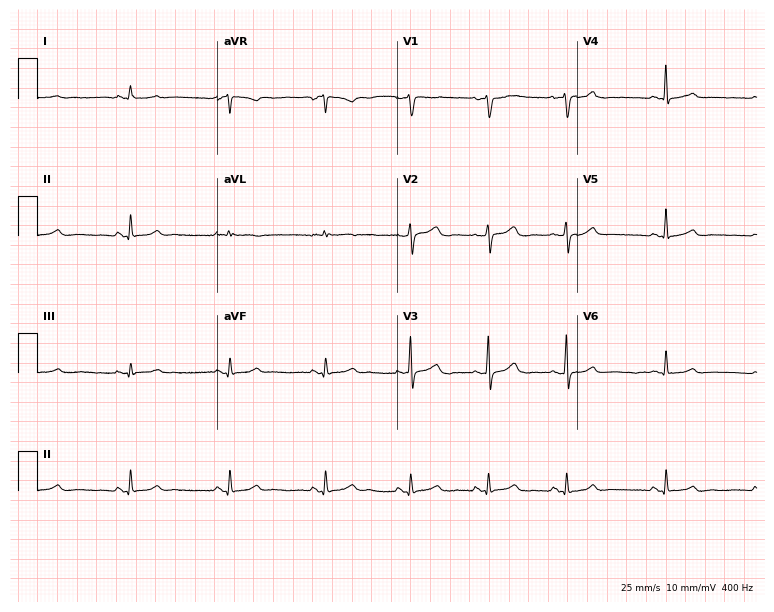
12-lead ECG from a woman, 46 years old (7.3-second recording at 400 Hz). Recorded interpretation: within normal limits.